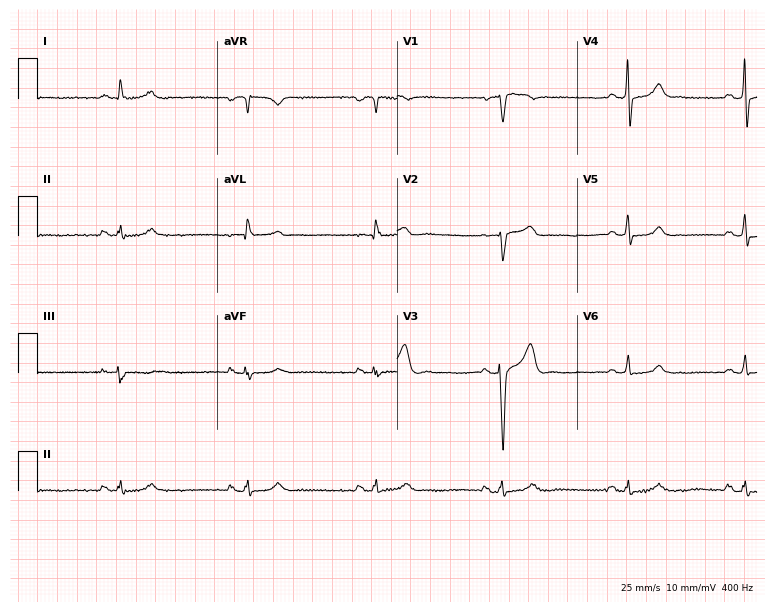
Electrocardiogram, a 61-year-old male patient. Overall reading on record: normal ECG.